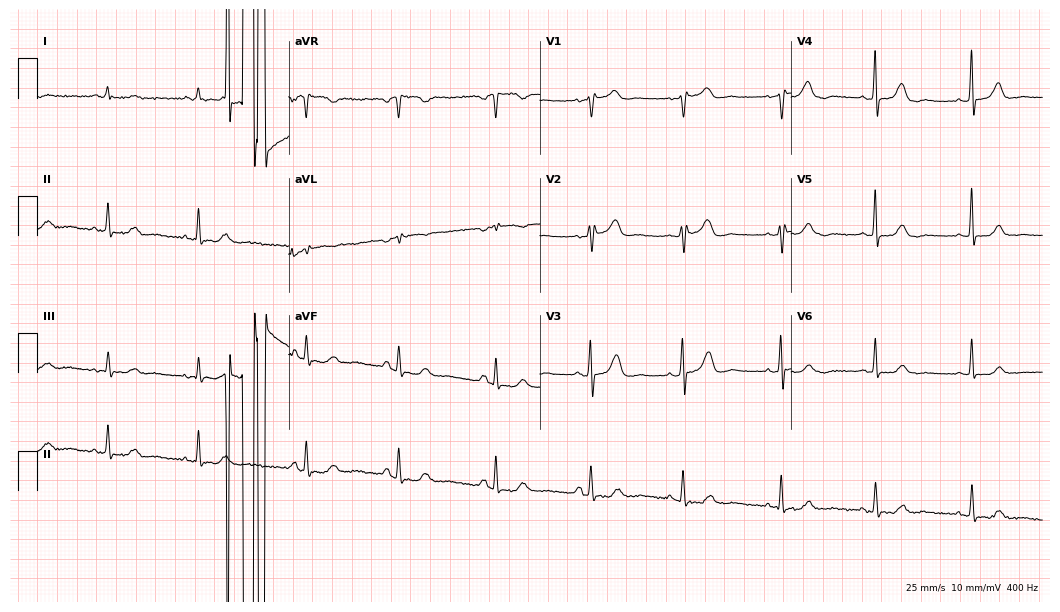
12-lead ECG from a female, 75 years old (10.2-second recording at 400 Hz). No first-degree AV block, right bundle branch block, left bundle branch block, sinus bradycardia, atrial fibrillation or sinus tachycardia recorded for this tracing.